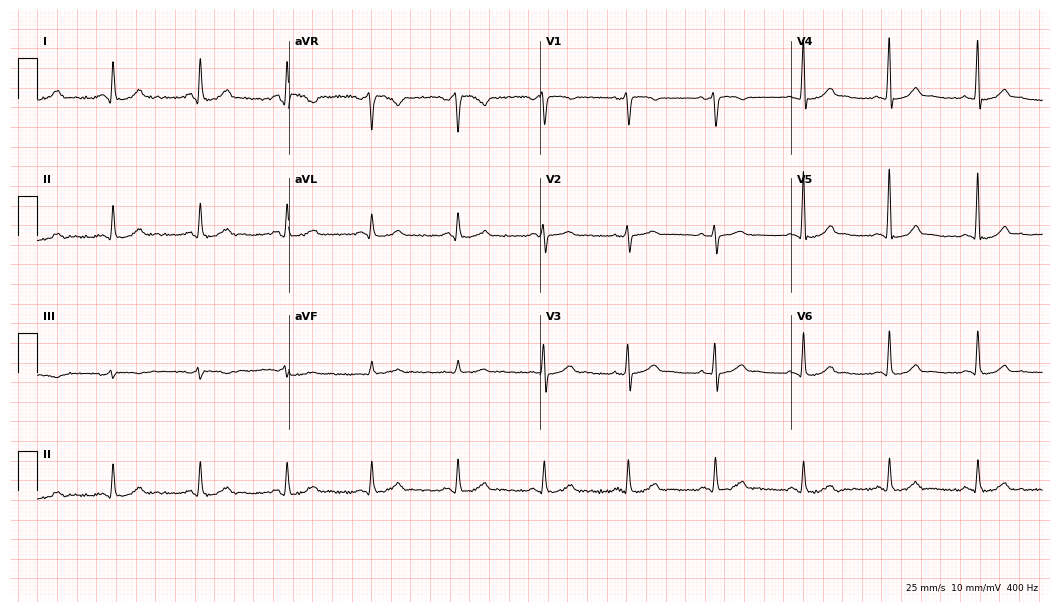
12-lead ECG from a woman, 30 years old. No first-degree AV block, right bundle branch block, left bundle branch block, sinus bradycardia, atrial fibrillation or sinus tachycardia recorded for this tracing. Findings outside these six are not listed.